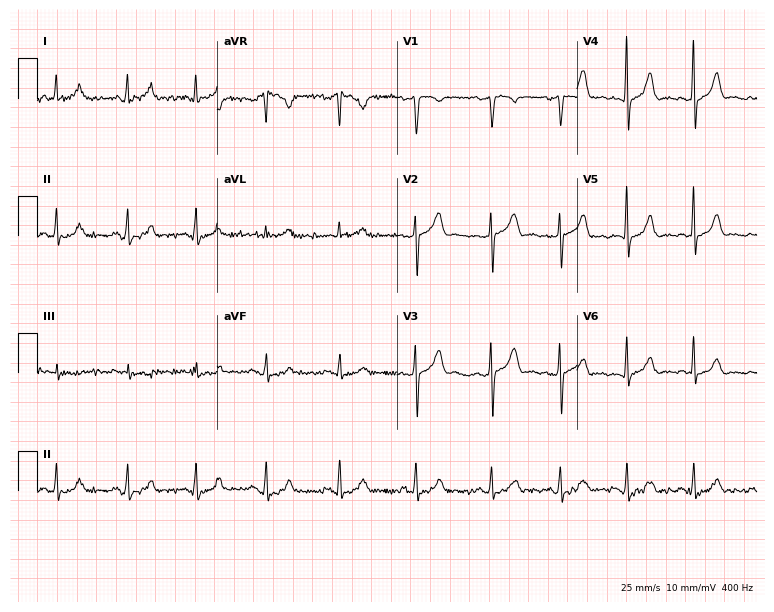
12-lead ECG (7.3-second recording at 400 Hz) from a 29-year-old female patient. Screened for six findings — first-degree AV block, right bundle branch block, left bundle branch block, sinus bradycardia, atrial fibrillation, sinus tachycardia — none is recorded.